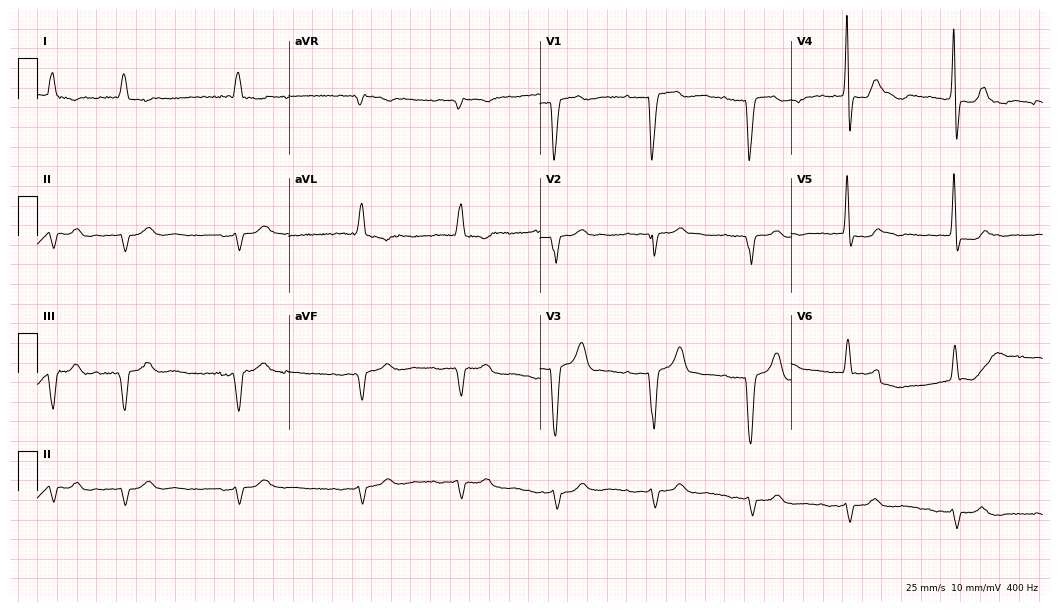
12-lead ECG from a 29-year-old male patient (10.2-second recording at 400 Hz). Shows first-degree AV block, left bundle branch block.